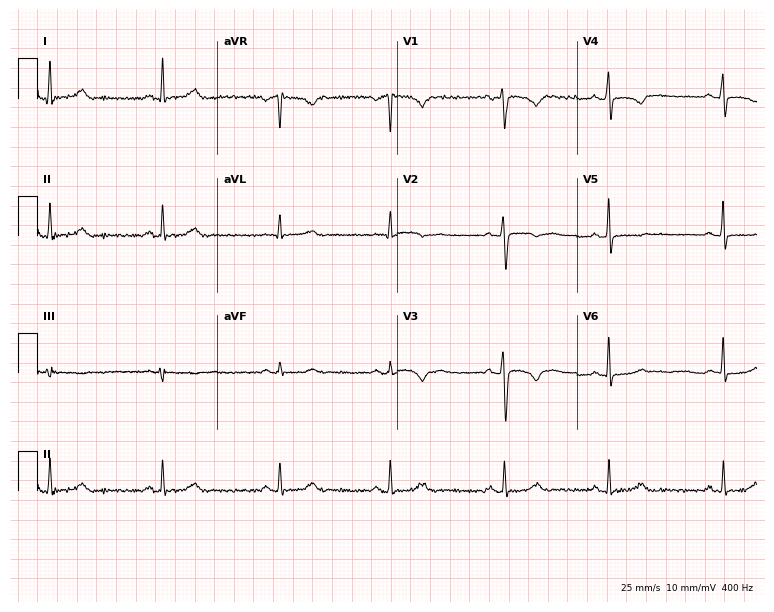
ECG (7.3-second recording at 400 Hz) — a 38-year-old female. Screened for six findings — first-degree AV block, right bundle branch block, left bundle branch block, sinus bradycardia, atrial fibrillation, sinus tachycardia — none is recorded.